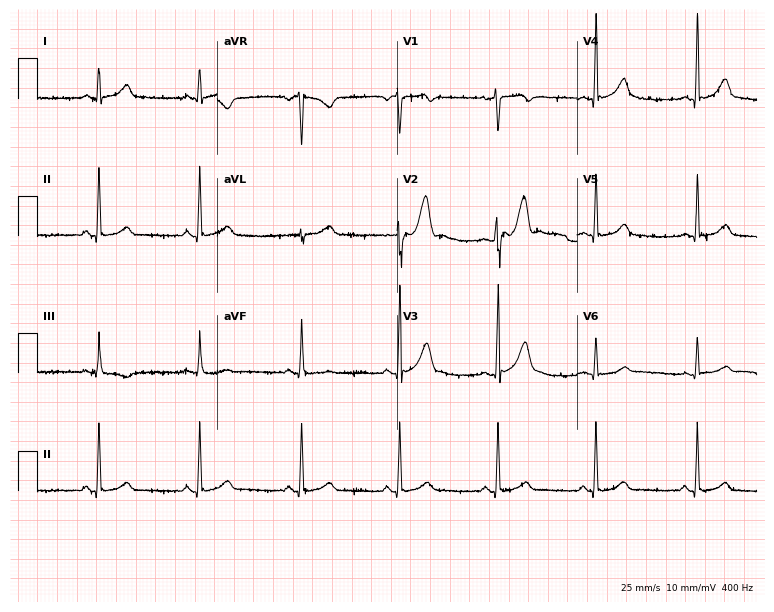
Standard 12-lead ECG recorded from a man, 37 years old. Read as a normal ECG.